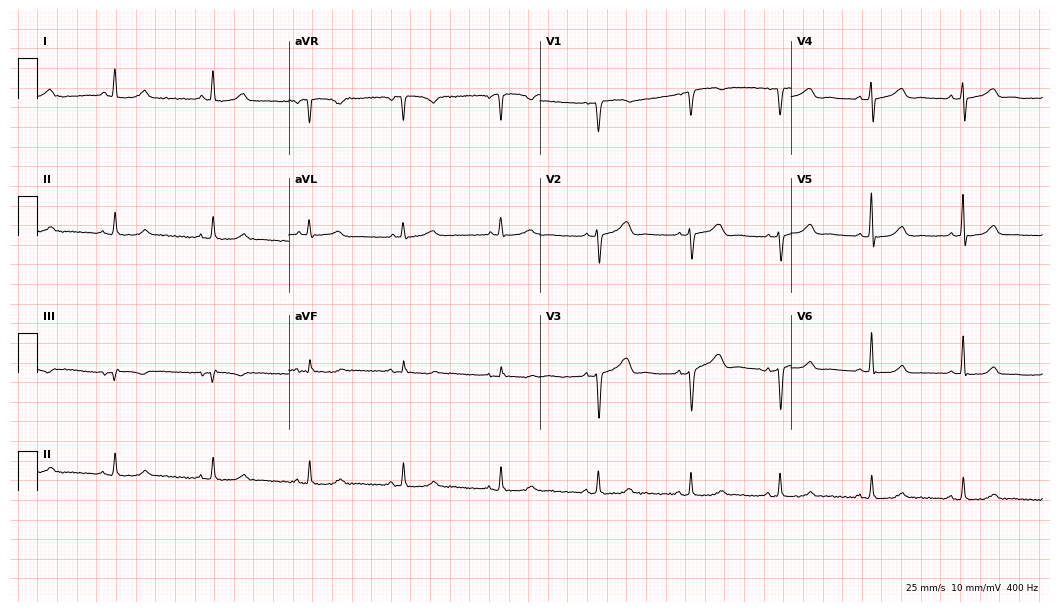
12-lead ECG from a 47-year-old female patient. Labelled as a normal ECG.